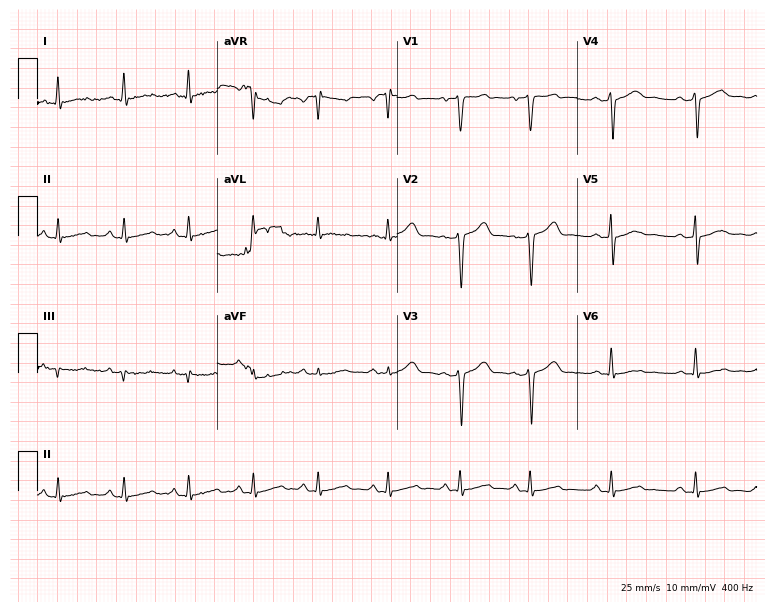
Resting 12-lead electrocardiogram. Patient: a male, 54 years old. None of these six findings is recorded: first-degree AV block, right bundle branch block, left bundle branch block, sinus bradycardia, atrial fibrillation, sinus tachycardia. Only these six findings were labelled.